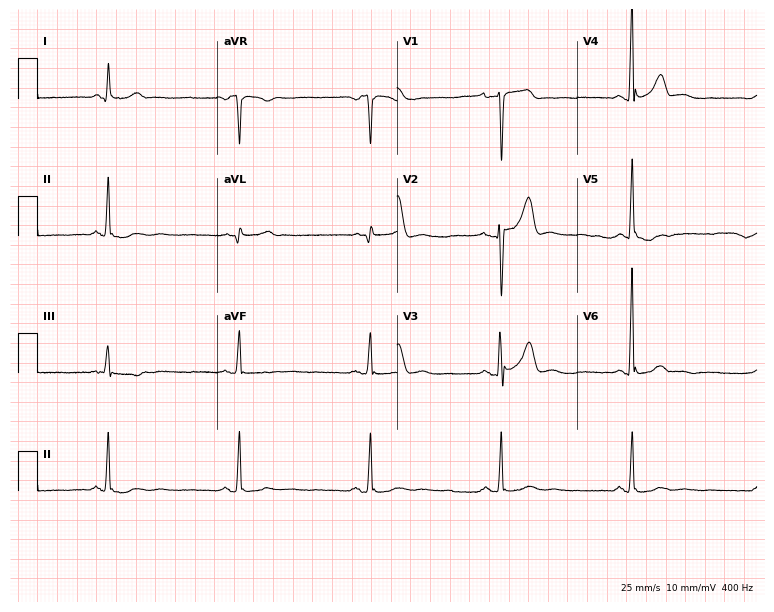
ECG (7.3-second recording at 400 Hz) — a male patient, 67 years old. Findings include sinus bradycardia (a sinus rate of 50 beats per minute or less).